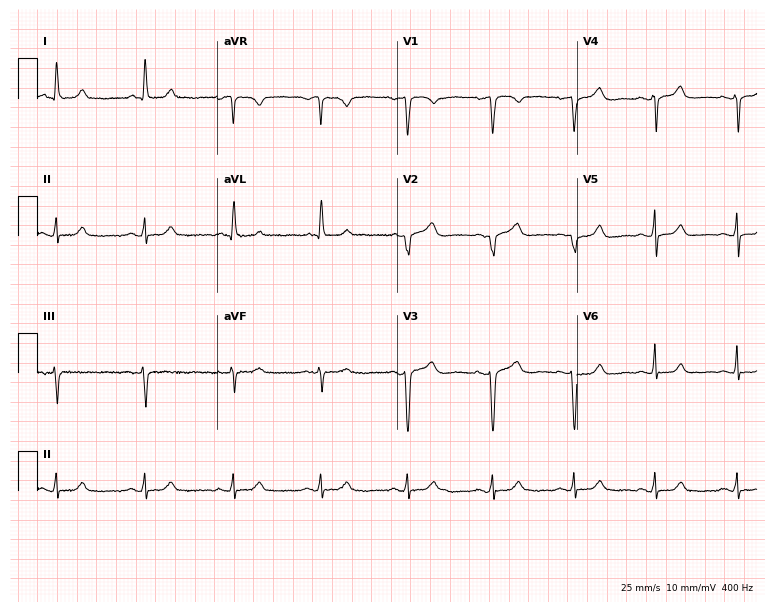
Standard 12-lead ECG recorded from a 52-year-old female. None of these six findings is recorded: first-degree AV block, right bundle branch block, left bundle branch block, sinus bradycardia, atrial fibrillation, sinus tachycardia.